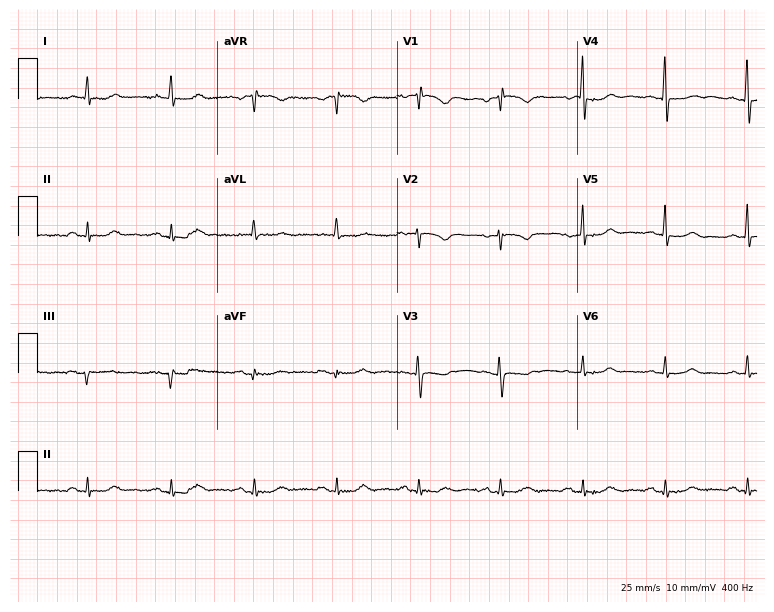
Electrocardiogram, an 80-year-old female patient. Of the six screened findings (first-degree AV block, right bundle branch block, left bundle branch block, sinus bradycardia, atrial fibrillation, sinus tachycardia), none is recorded. Other findings, if any, are not listed.